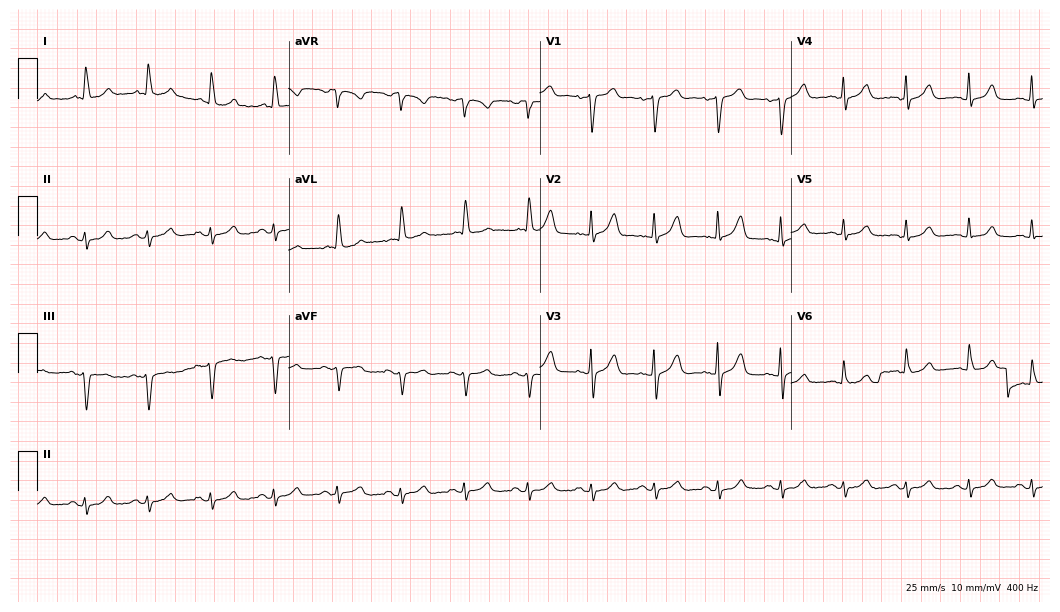
12-lead ECG from a woman, 76 years old. No first-degree AV block, right bundle branch block (RBBB), left bundle branch block (LBBB), sinus bradycardia, atrial fibrillation (AF) or sinus tachycardia recorded for this tracing.